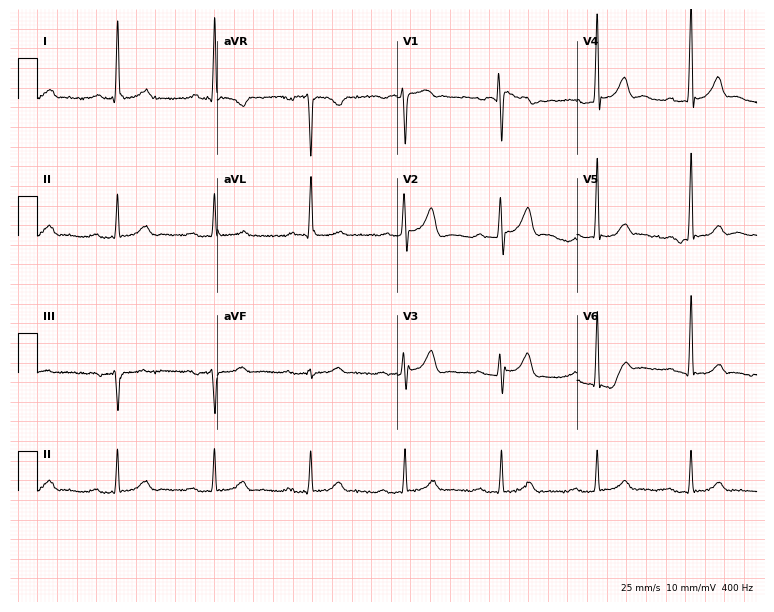
12-lead ECG from a 71-year-old man. Screened for six findings — first-degree AV block, right bundle branch block, left bundle branch block, sinus bradycardia, atrial fibrillation, sinus tachycardia — none is recorded. Other findings, if any, are not listed.